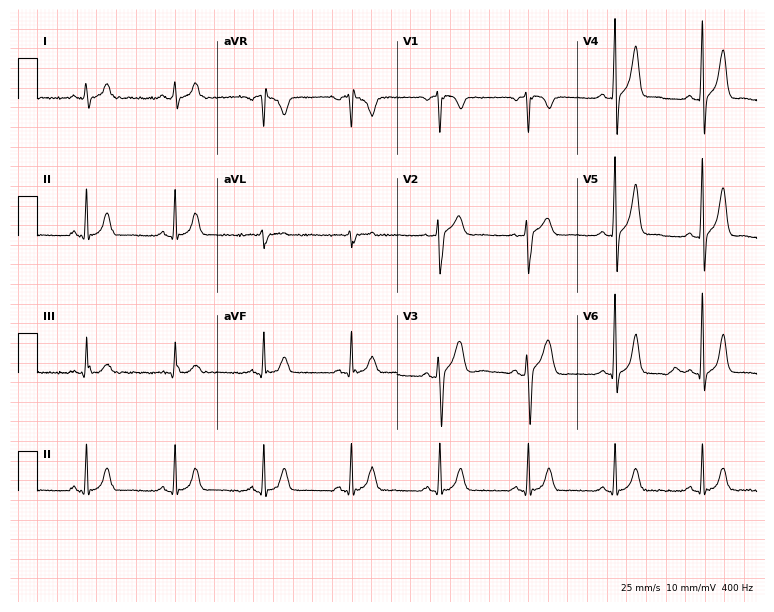
Electrocardiogram, a 50-year-old male. Overall reading on record: normal ECG.